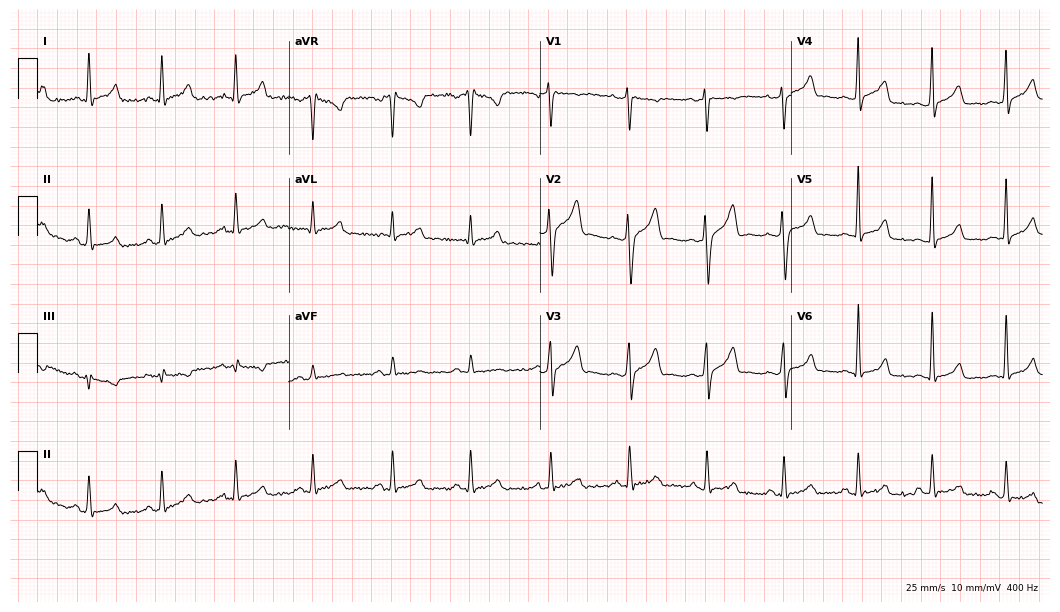
Electrocardiogram (10.2-second recording at 400 Hz), a male, 42 years old. Of the six screened findings (first-degree AV block, right bundle branch block, left bundle branch block, sinus bradycardia, atrial fibrillation, sinus tachycardia), none is recorded.